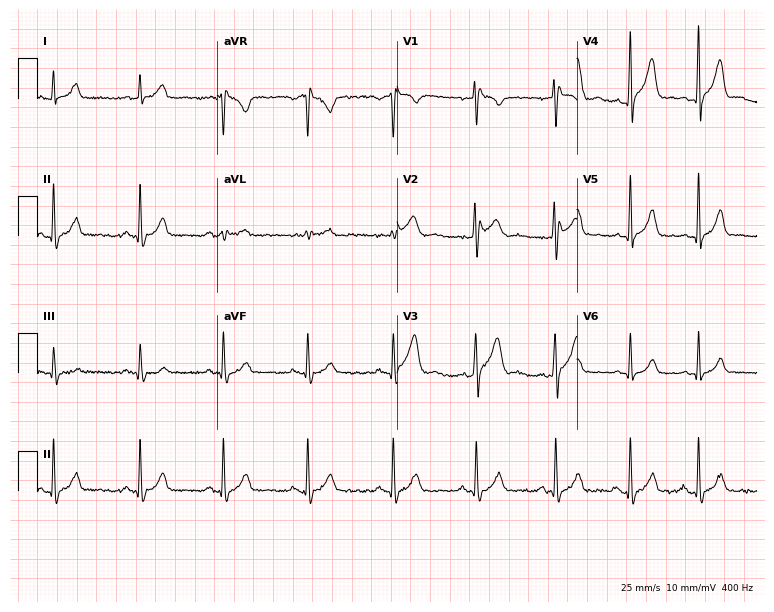
Electrocardiogram (7.3-second recording at 400 Hz), a 28-year-old male. Of the six screened findings (first-degree AV block, right bundle branch block, left bundle branch block, sinus bradycardia, atrial fibrillation, sinus tachycardia), none is recorded.